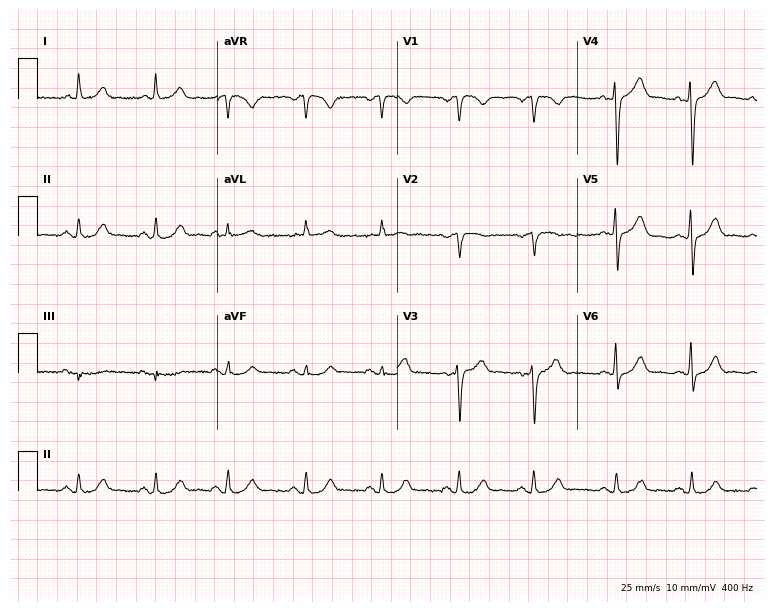
ECG (7.3-second recording at 400 Hz) — a 60-year-old female patient. Screened for six findings — first-degree AV block, right bundle branch block, left bundle branch block, sinus bradycardia, atrial fibrillation, sinus tachycardia — none is recorded.